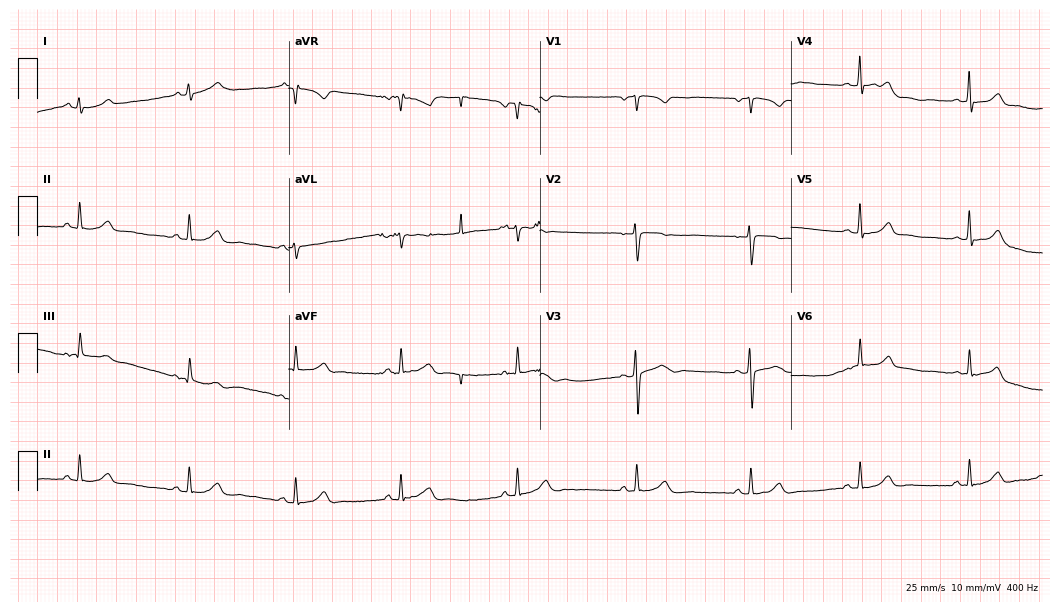
Standard 12-lead ECG recorded from a woman, 29 years old. None of these six findings is recorded: first-degree AV block, right bundle branch block, left bundle branch block, sinus bradycardia, atrial fibrillation, sinus tachycardia. Findings outside these six are not listed.